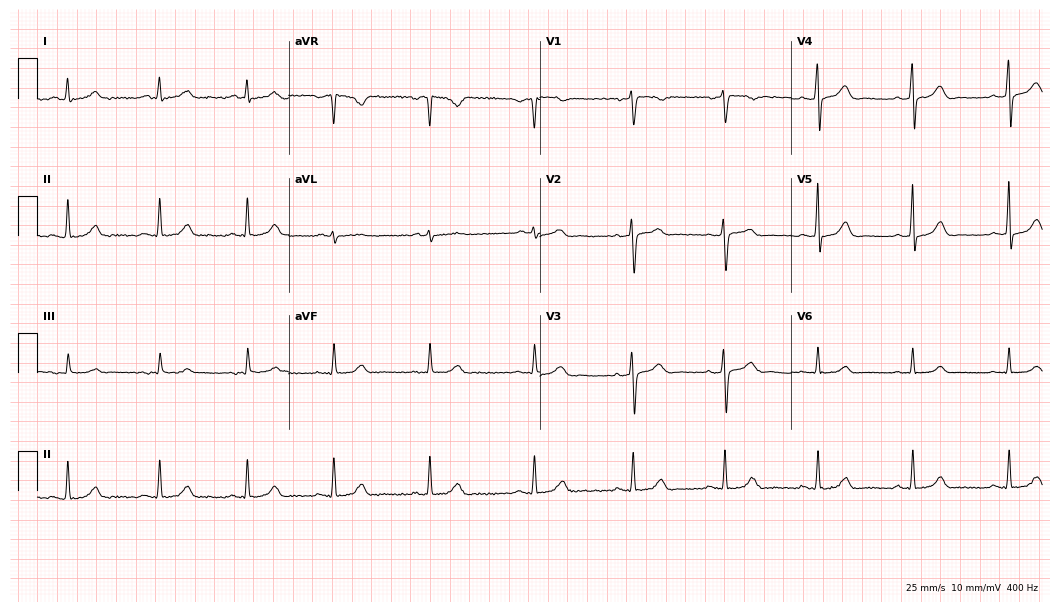
Electrocardiogram (10.2-second recording at 400 Hz), a 53-year-old woman. Overall reading on record: normal ECG.